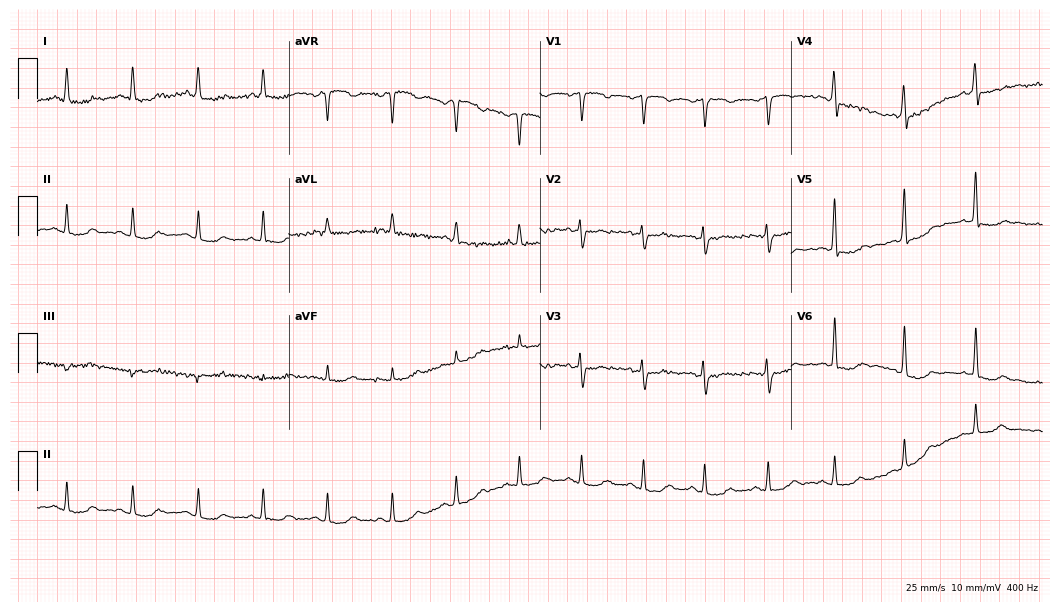
Electrocardiogram, a female patient, 46 years old. Of the six screened findings (first-degree AV block, right bundle branch block (RBBB), left bundle branch block (LBBB), sinus bradycardia, atrial fibrillation (AF), sinus tachycardia), none is recorded.